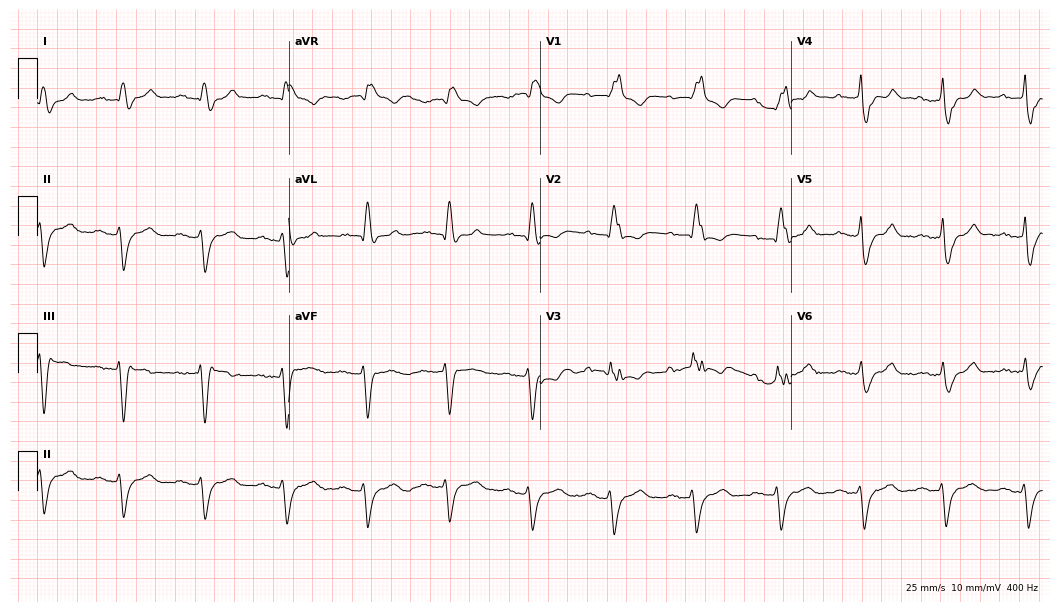
12-lead ECG (10.2-second recording at 400 Hz) from a man, 79 years old. Findings include first-degree AV block, right bundle branch block.